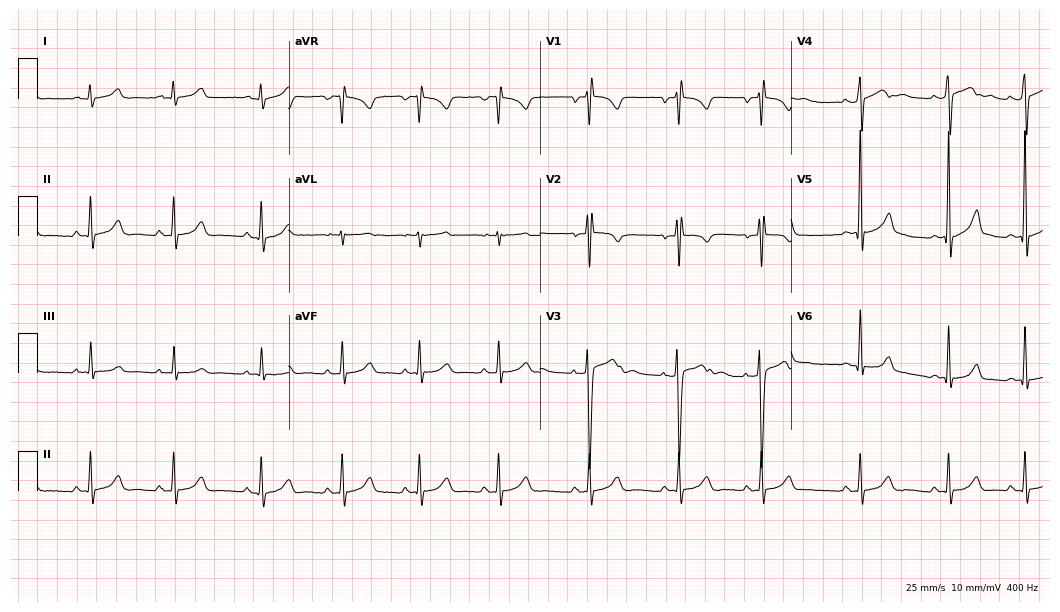
ECG — an 18-year-old man. Labelled as a normal ECG.